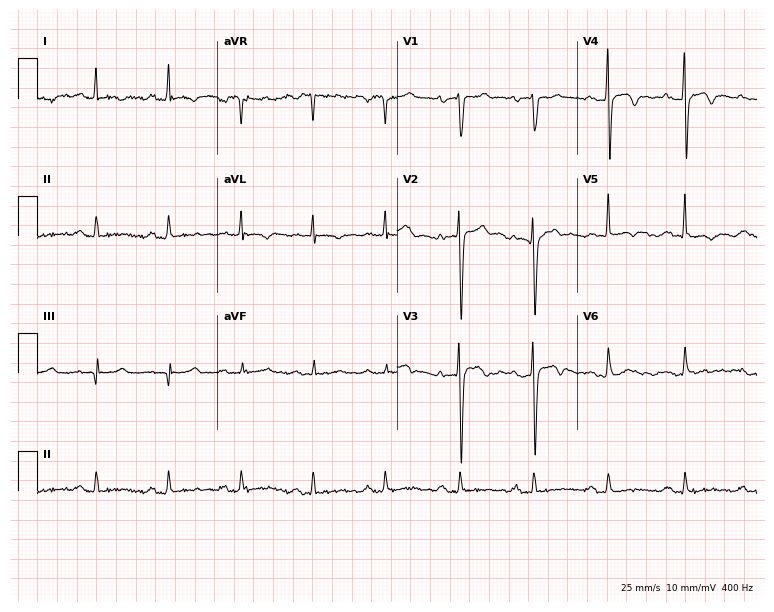
Electrocardiogram, a man, 34 years old. Of the six screened findings (first-degree AV block, right bundle branch block (RBBB), left bundle branch block (LBBB), sinus bradycardia, atrial fibrillation (AF), sinus tachycardia), none is recorded. Other findings, if any, are not listed.